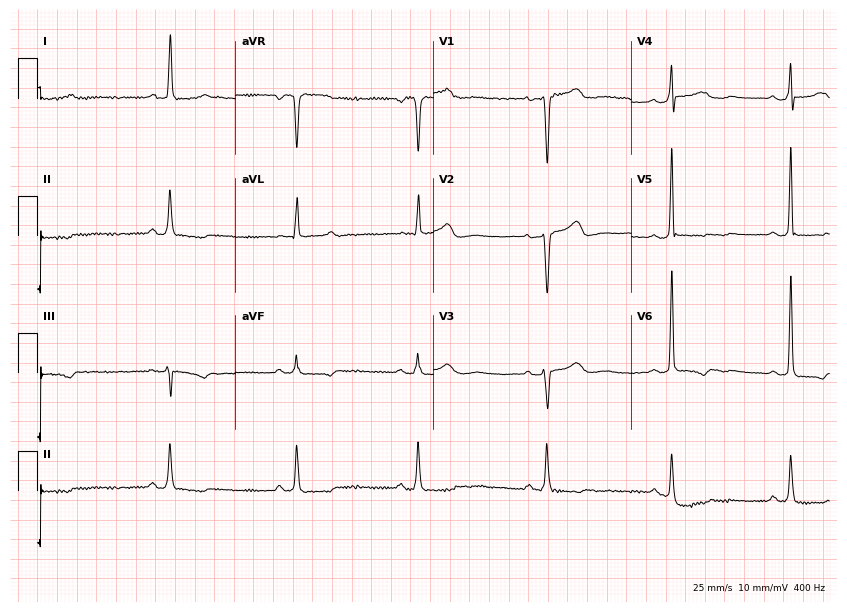
12-lead ECG from a woman, 49 years old (8.1-second recording at 400 Hz). No first-degree AV block, right bundle branch block, left bundle branch block, sinus bradycardia, atrial fibrillation or sinus tachycardia recorded for this tracing.